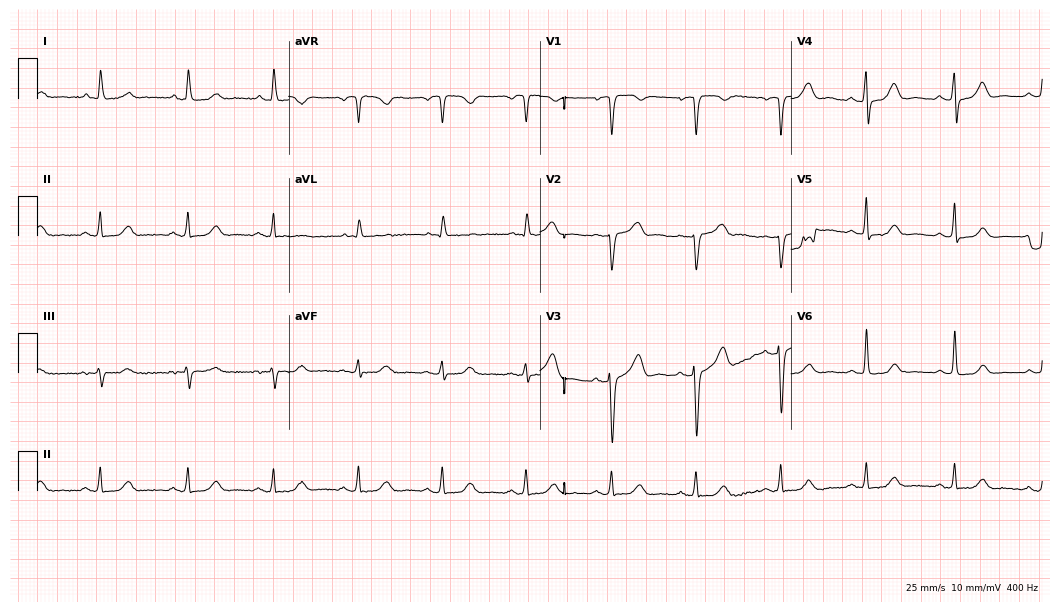
12-lead ECG from a 61-year-old woman. Labelled as a normal ECG.